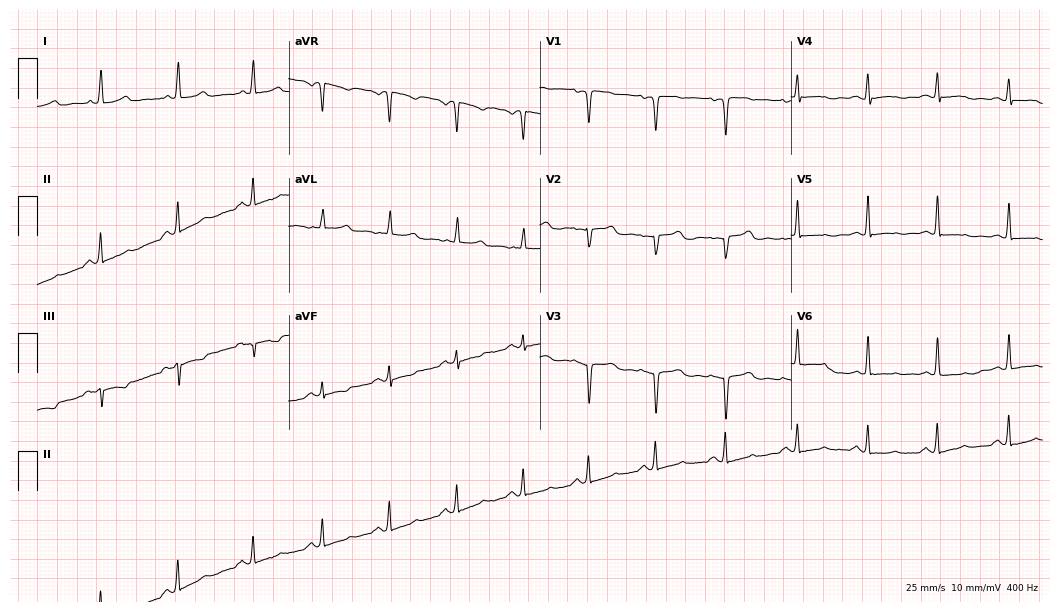
Resting 12-lead electrocardiogram (10.2-second recording at 400 Hz). Patient: a 39-year-old female. None of these six findings is recorded: first-degree AV block, right bundle branch block, left bundle branch block, sinus bradycardia, atrial fibrillation, sinus tachycardia. Other findings, if any, are not listed.